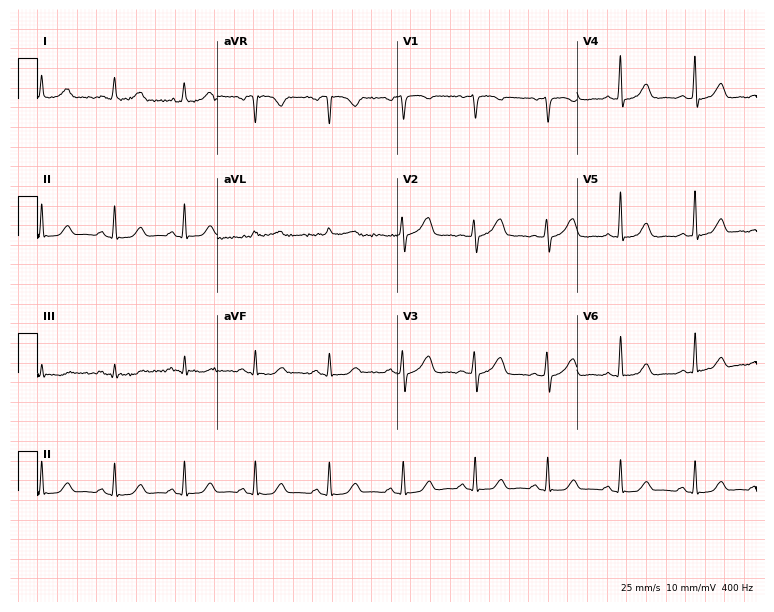
ECG (7.3-second recording at 400 Hz) — a 57-year-old female. Screened for six findings — first-degree AV block, right bundle branch block (RBBB), left bundle branch block (LBBB), sinus bradycardia, atrial fibrillation (AF), sinus tachycardia — none is recorded. Only these six findings were labelled.